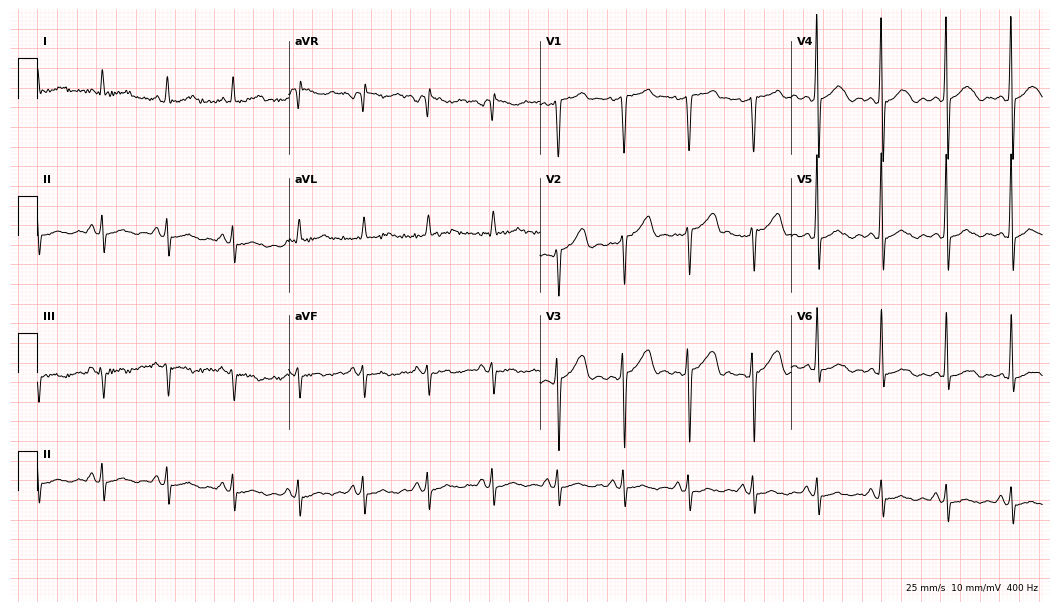
Resting 12-lead electrocardiogram (10.2-second recording at 400 Hz). Patient: a male, 43 years old. None of these six findings is recorded: first-degree AV block, right bundle branch block (RBBB), left bundle branch block (LBBB), sinus bradycardia, atrial fibrillation (AF), sinus tachycardia. Only these six findings were labelled.